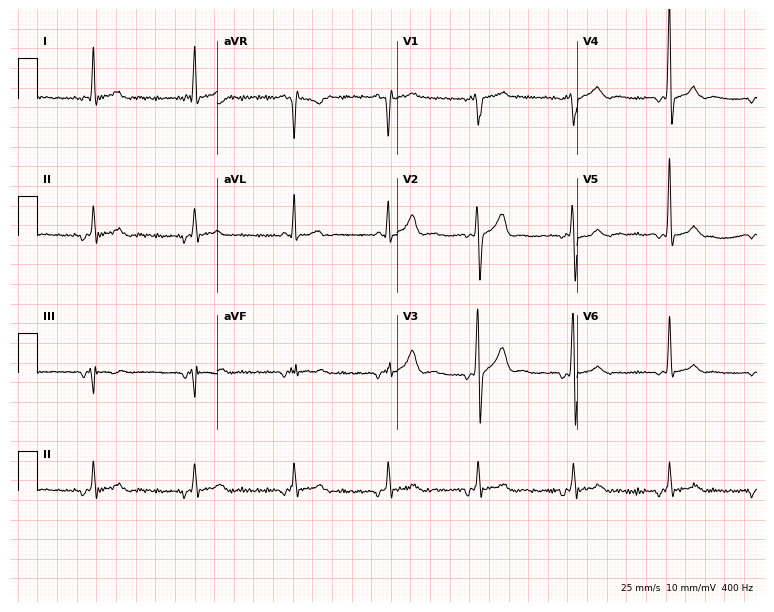
12-lead ECG from a male, 68 years old. No first-degree AV block, right bundle branch block, left bundle branch block, sinus bradycardia, atrial fibrillation or sinus tachycardia recorded for this tracing. Findings outside these six are not listed.